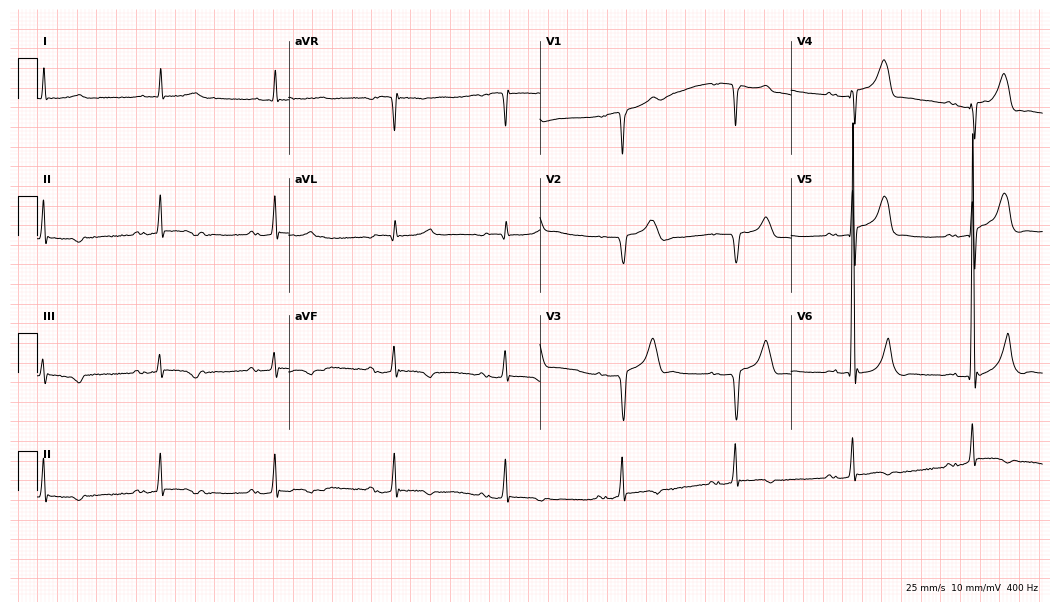
12-lead ECG from a male patient, 84 years old. Shows first-degree AV block.